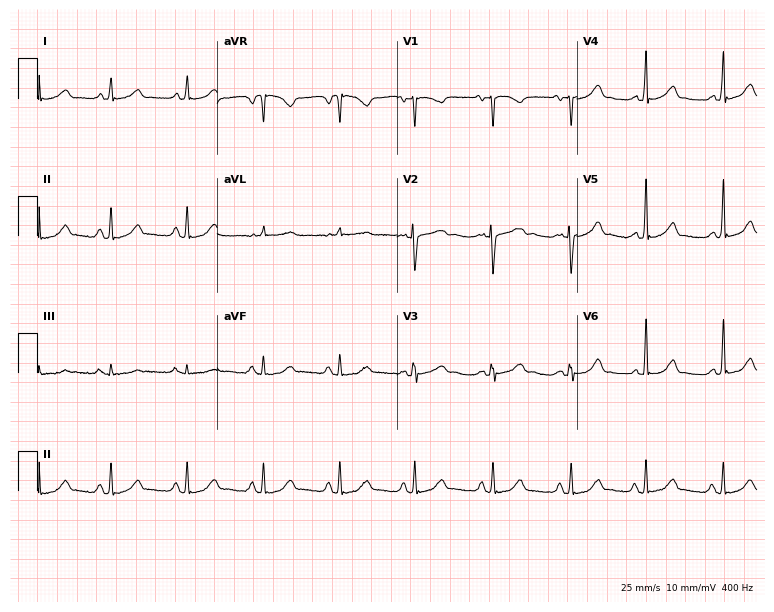
12-lead ECG from a female, 31 years old. No first-degree AV block, right bundle branch block, left bundle branch block, sinus bradycardia, atrial fibrillation or sinus tachycardia recorded for this tracing. Other findings, if any, are not listed.